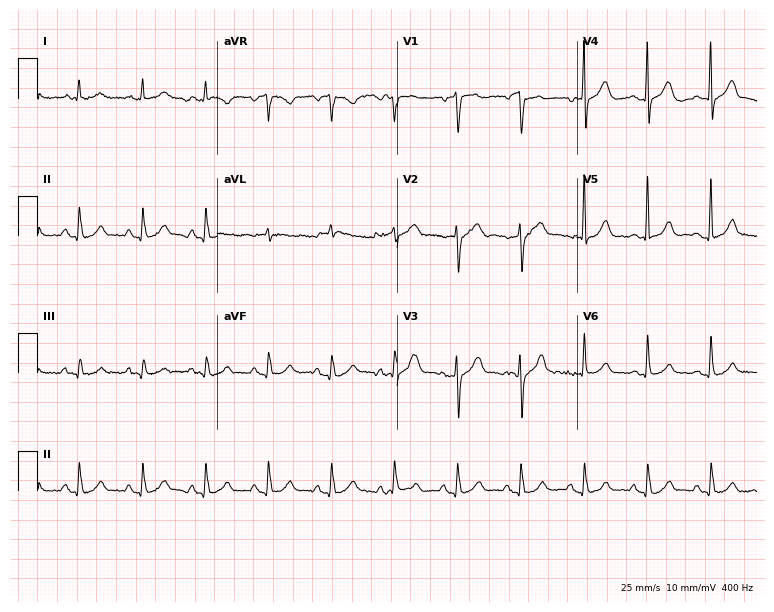
Electrocardiogram, a man, 71 years old. Overall reading on record: normal ECG.